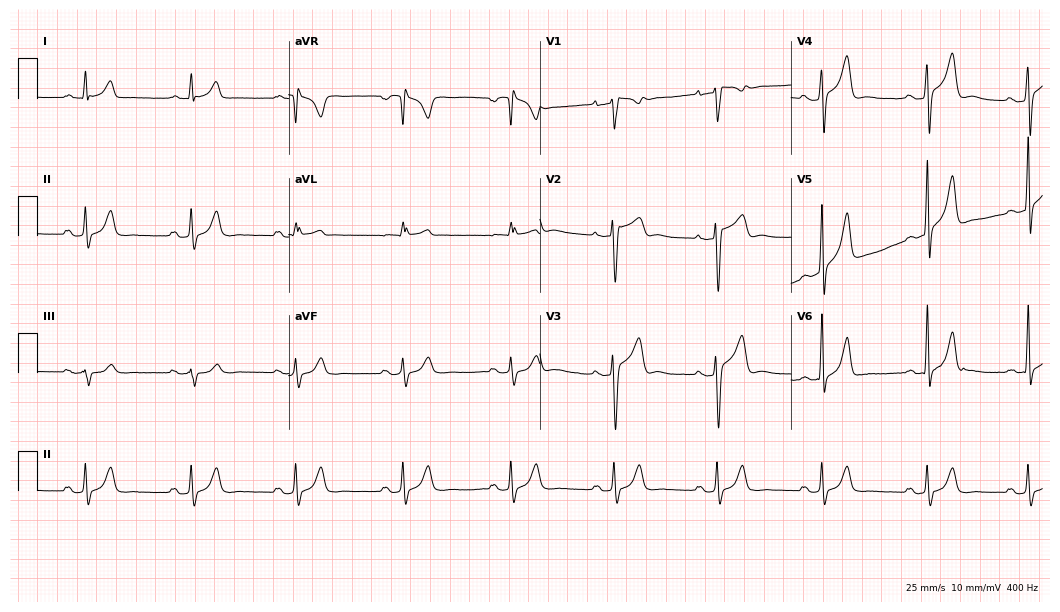
12-lead ECG from a man, 43 years old (10.2-second recording at 400 Hz). Recorded interpretation: within normal limits.